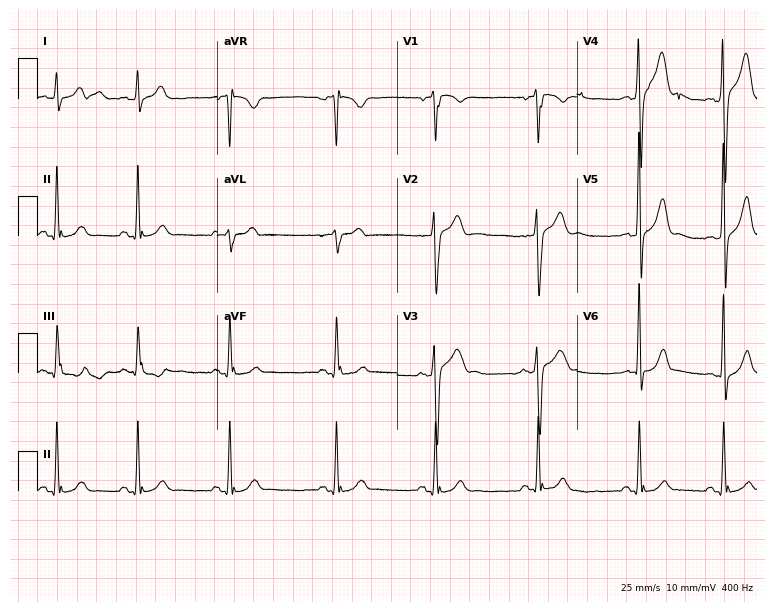
Resting 12-lead electrocardiogram (7.3-second recording at 400 Hz). Patient: a male, 24 years old. Read as a normal ECG.